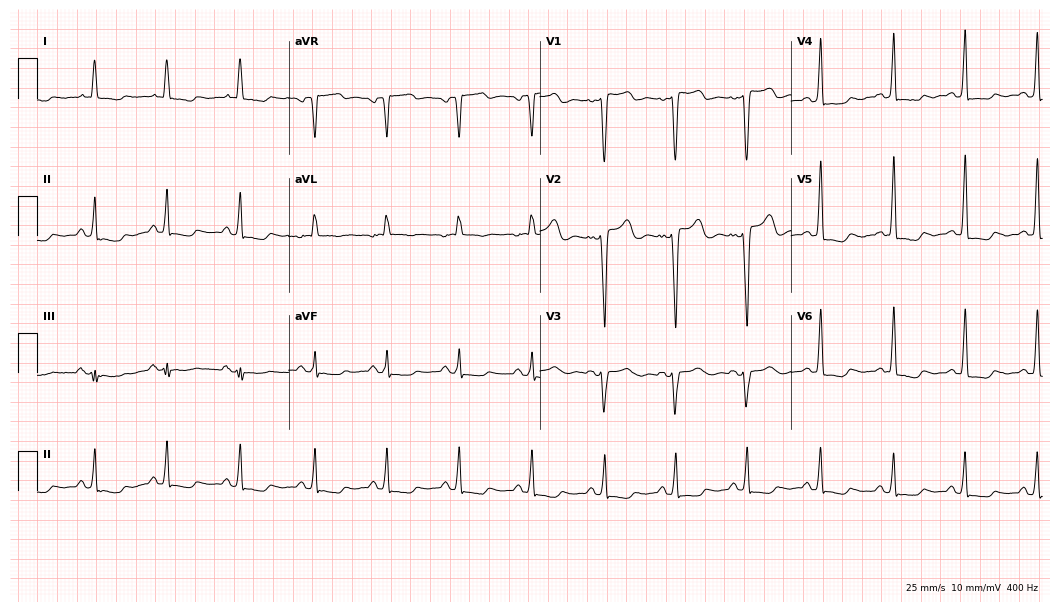
ECG (10.2-second recording at 400 Hz) — an 84-year-old female patient. Screened for six findings — first-degree AV block, right bundle branch block (RBBB), left bundle branch block (LBBB), sinus bradycardia, atrial fibrillation (AF), sinus tachycardia — none is recorded.